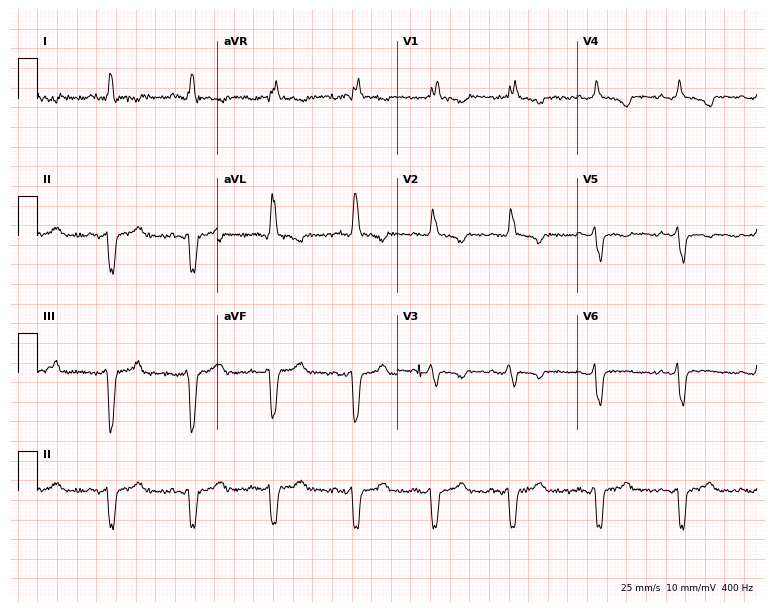
Resting 12-lead electrocardiogram (7.3-second recording at 400 Hz). Patient: a 56-year-old female. None of these six findings is recorded: first-degree AV block, right bundle branch block, left bundle branch block, sinus bradycardia, atrial fibrillation, sinus tachycardia.